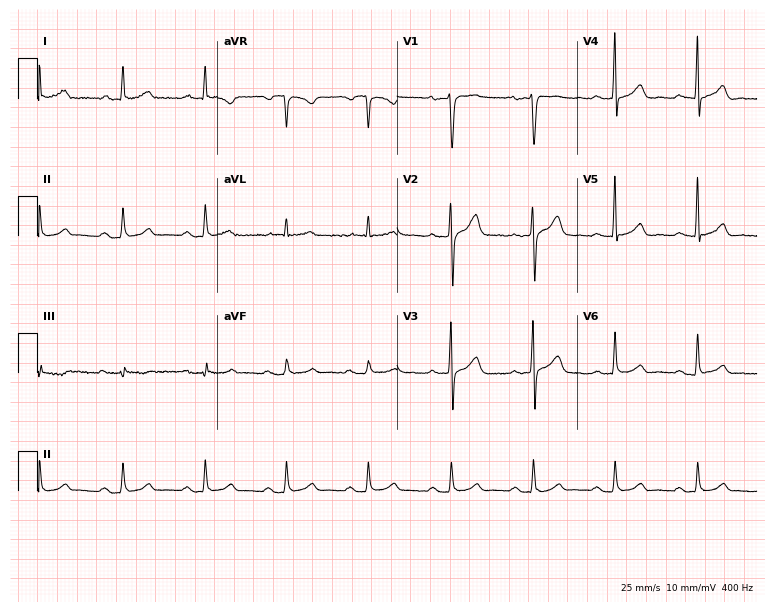
12-lead ECG (7.3-second recording at 400 Hz) from a 60-year-old male patient. Labelled as a normal ECG.